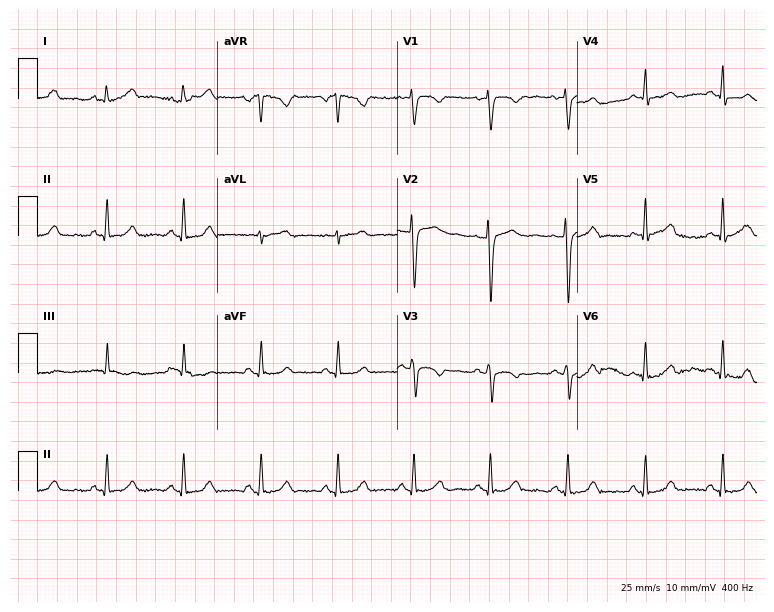
ECG — a woman, 54 years old. Labelled as a normal ECG.